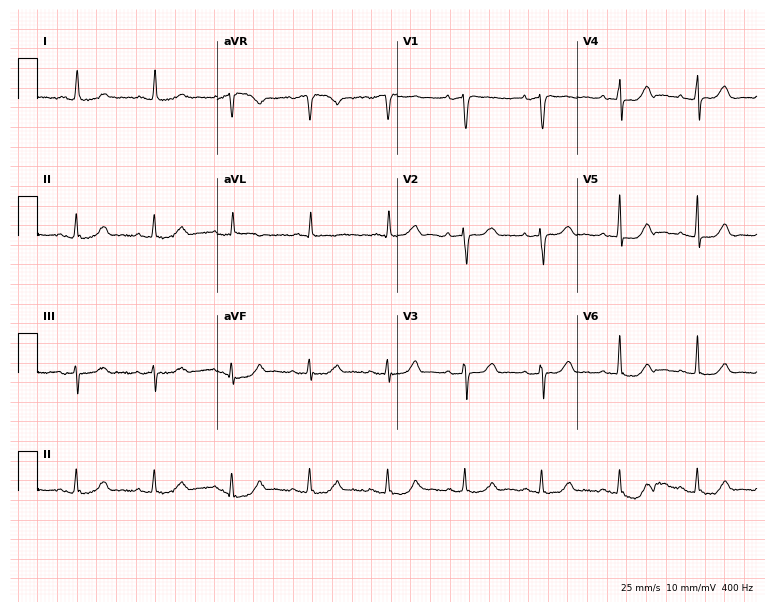
12-lead ECG from a woman, 86 years old. Recorded interpretation: within normal limits.